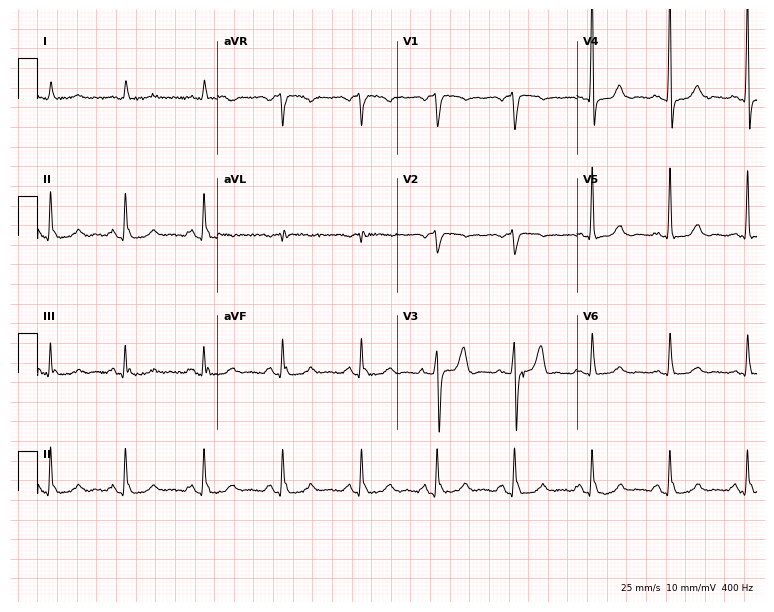
Standard 12-lead ECG recorded from an 81-year-old male patient. None of these six findings is recorded: first-degree AV block, right bundle branch block, left bundle branch block, sinus bradycardia, atrial fibrillation, sinus tachycardia.